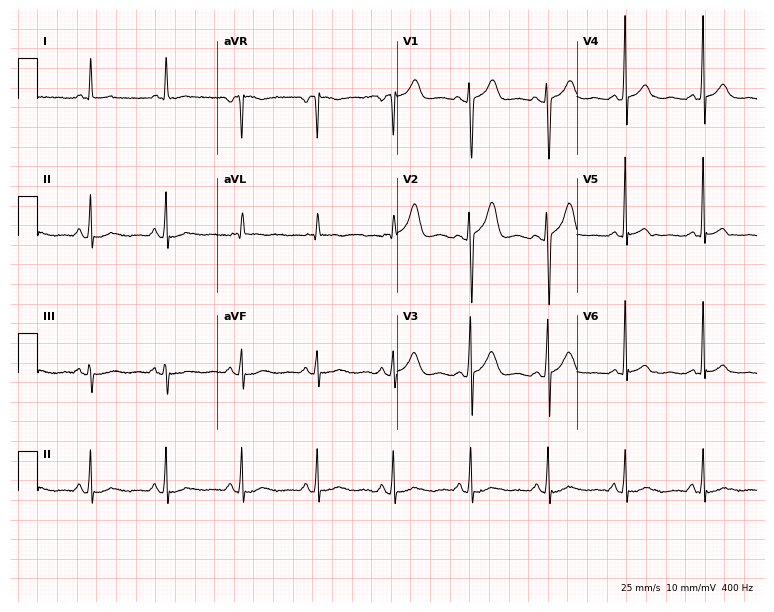
Electrocardiogram (7.3-second recording at 400 Hz), a 75-year-old female patient. Of the six screened findings (first-degree AV block, right bundle branch block, left bundle branch block, sinus bradycardia, atrial fibrillation, sinus tachycardia), none is recorded.